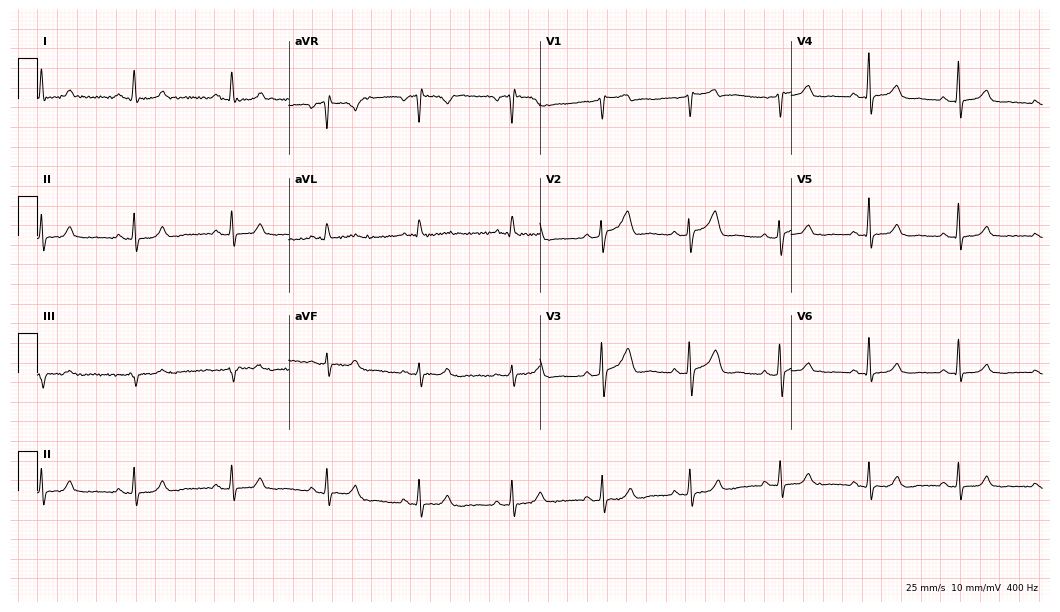
Standard 12-lead ECG recorded from a woman, 61 years old (10.2-second recording at 400 Hz). None of these six findings is recorded: first-degree AV block, right bundle branch block, left bundle branch block, sinus bradycardia, atrial fibrillation, sinus tachycardia. Other findings, if any, are not listed.